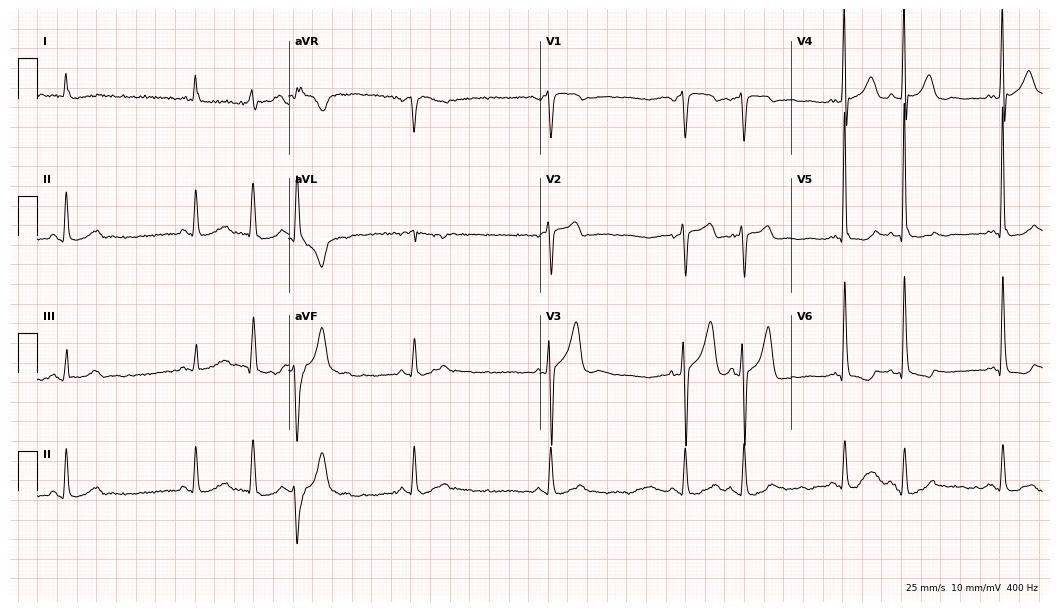
12-lead ECG (10.2-second recording at 400 Hz) from a man, 75 years old. Screened for six findings — first-degree AV block, right bundle branch block (RBBB), left bundle branch block (LBBB), sinus bradycardia, atrial fibrillation (AF), sinus tachycardia — none is recorded.